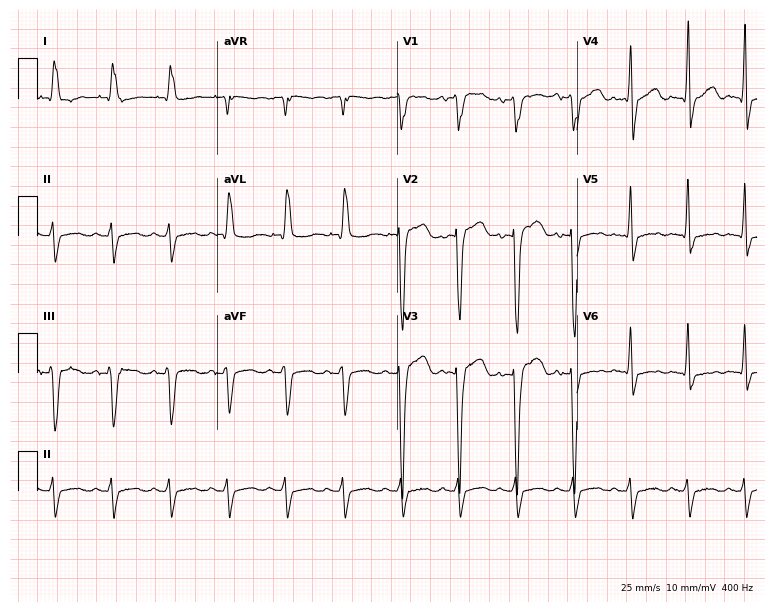
12-lead ECG (7.3-second recording at 400 Hz) from an 83-year-old man. Findings include left bundle branch block (LBBB), sinus tachycardia (a sinus rate of 100 beats per minute or more).